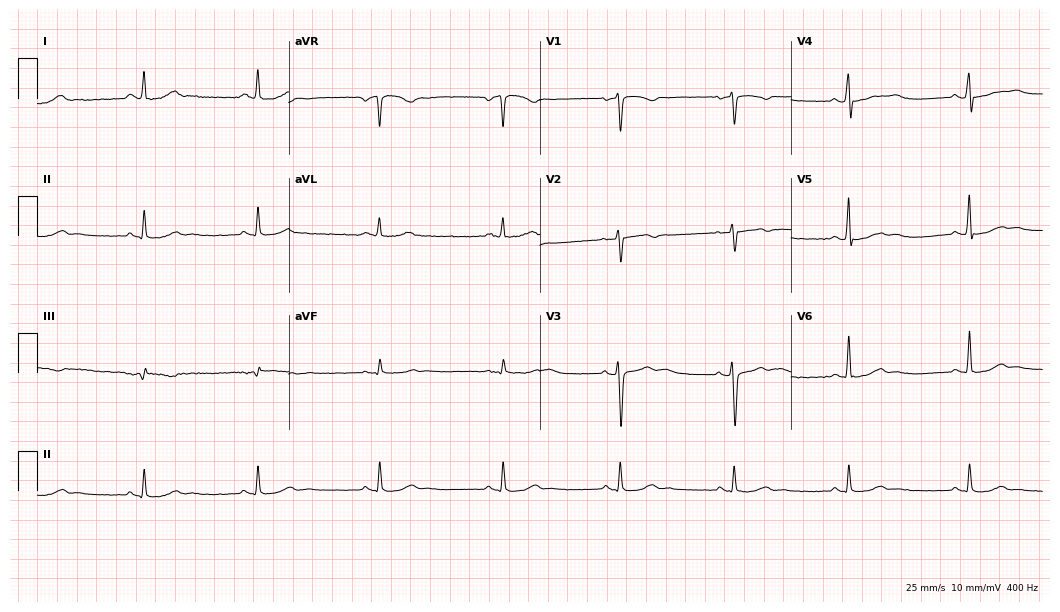
Standard 12-lead ECG recorded from a 30-year-old man. None of these six findings is recorded: first-degree AV block, right bundle branch block (RBBB), left bundle branch block (LBBB), sinus bradycardia, atrial fibrillation (AF), sinus tachycardia.